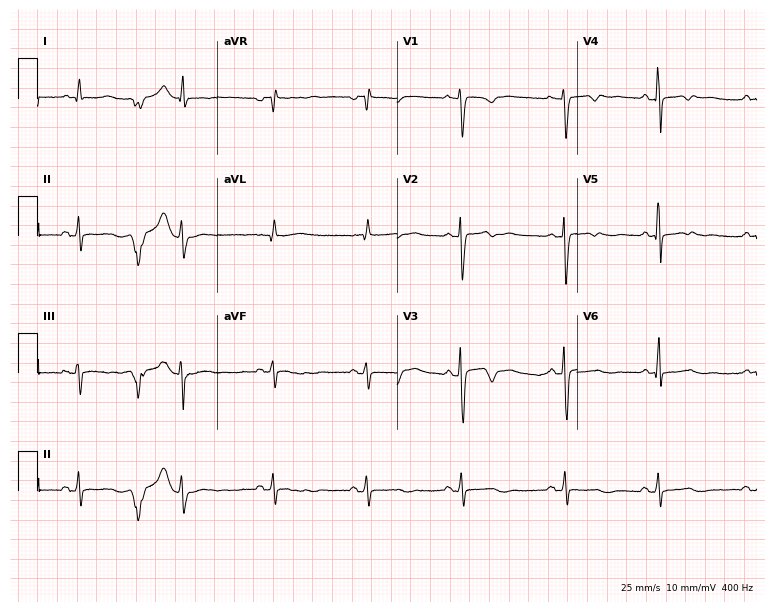
Resting 12-lead electrocardiogram. Patient: a woman, 38 years old. None of these six findings is recorded: first-degree AV block, right bundle branch block, left bundle branch block, sinus bradycardia, atrial fibrillation, sinus tachycardia.